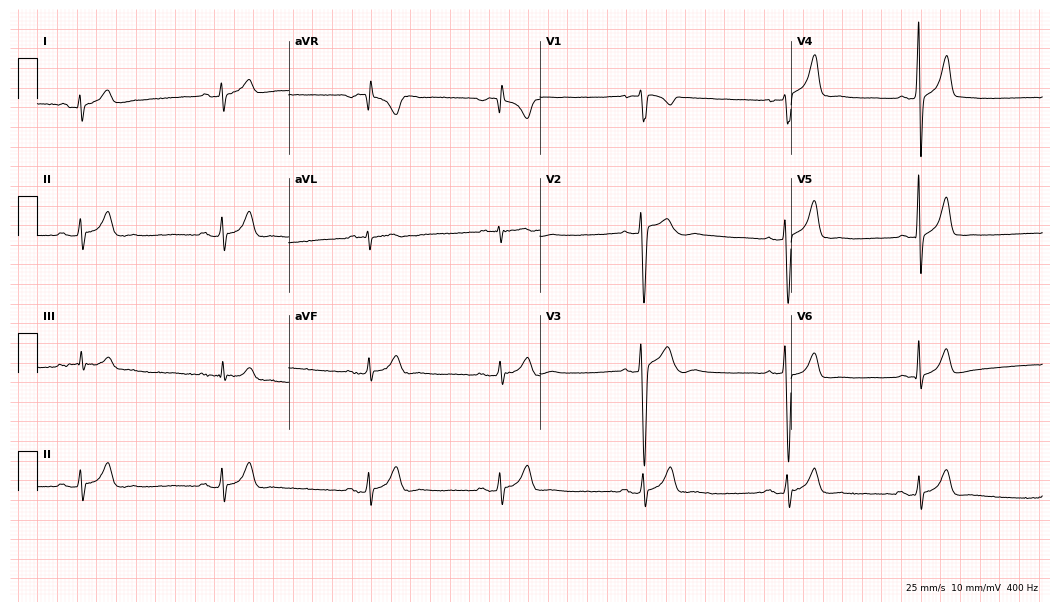
ECG (10.2-second recording at 400 Hz) — a male patient, 26 years old. Findings include sinus bradycardia (a sinus rate of 50 beats per minute or less).